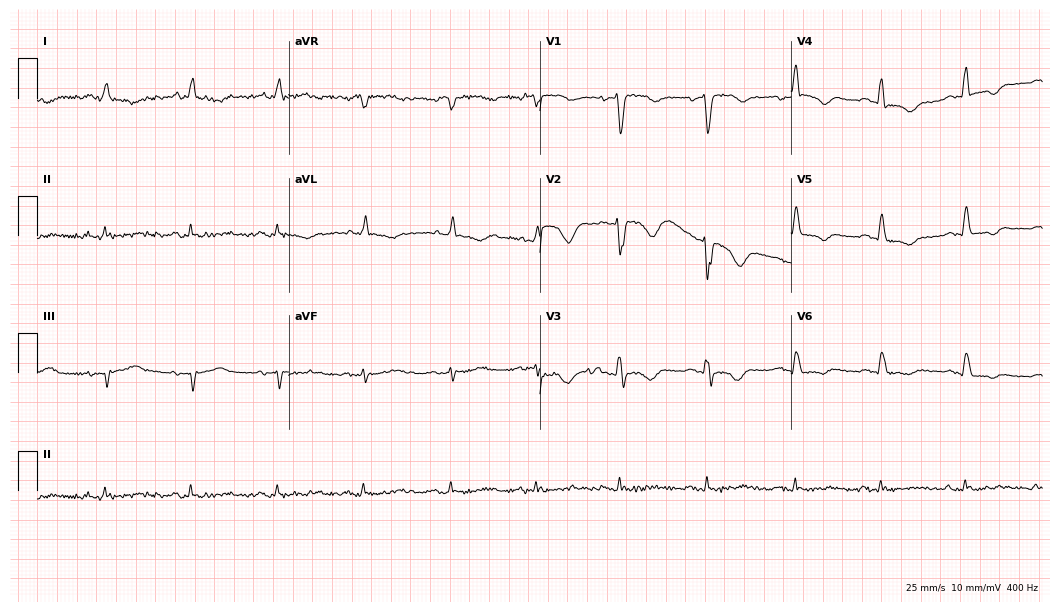
Resting 12-lead electrocardiogram. Patient: a 74-year-old male. None of these six findings is recorded: first-degree AV block, right bundle branch block, left bundle branch block, sinus bradycardia, atrial fibrillation, sinus tachycardia.